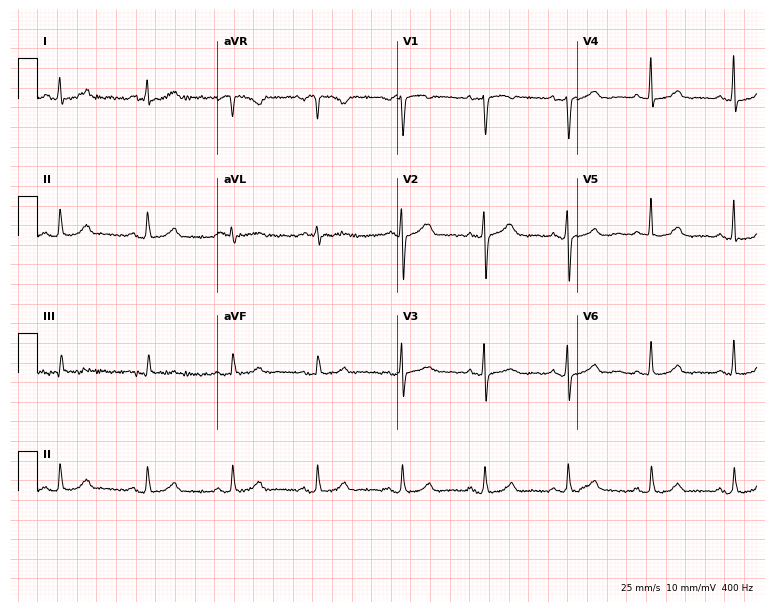
ECG — a 58-year-old female patient. Screened for six findings — first-degree AV block, right bundle branch block (RBBB), left bundle branch block (LBBB), sinus bradycardia, atrial fibrillation (AF), sinus tachycardia — none is recorded.